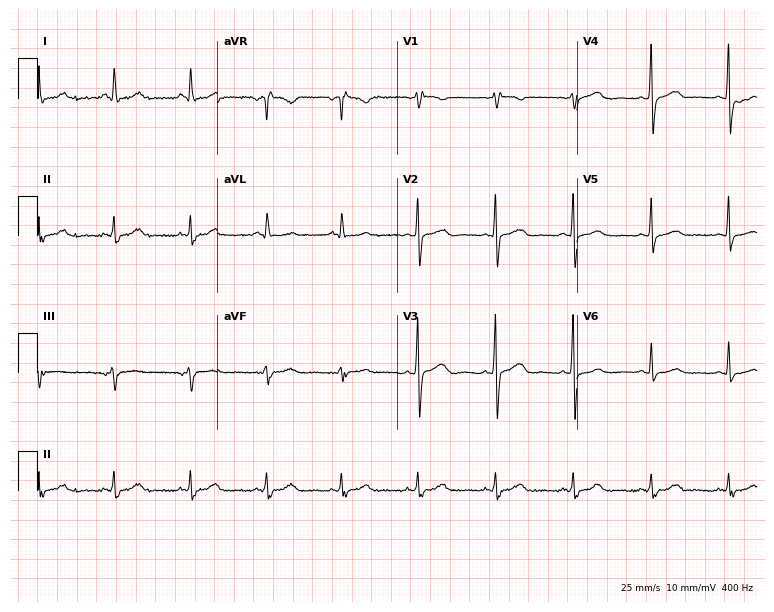
Standard 12-lead ECG recorded from a 69-year-old male (7.3-second recording at 400 Hz). Read as a normal ECG.